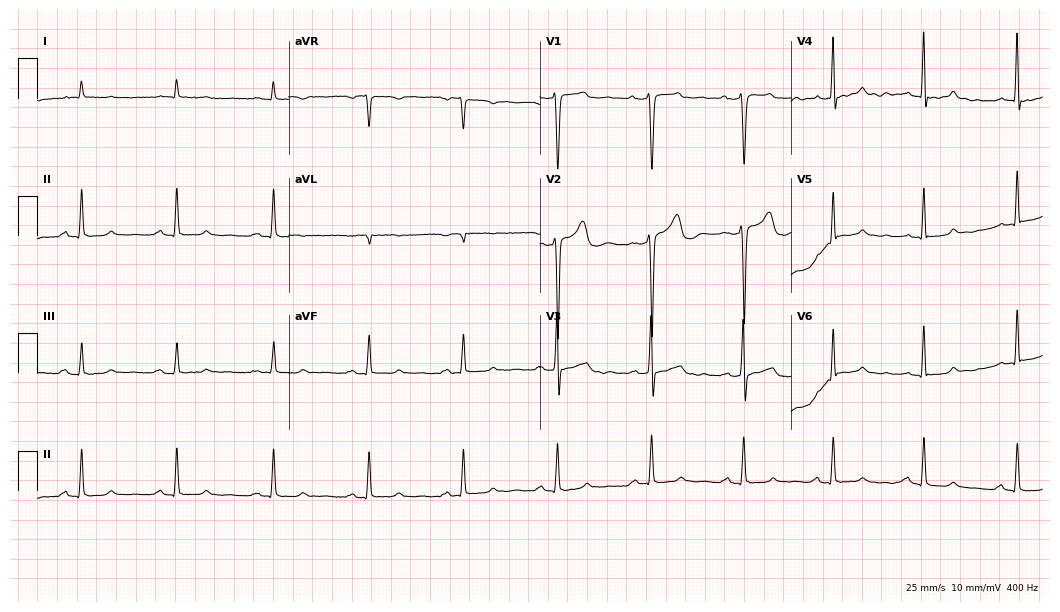
Resting 12-lead electrocardiogram. Patient: a male, 47 years old. None of these six findings is recorded: first-degree AV block, right bundle branch block (RBBB), left bundle branch block (LBBB), sinus bradycardia, atrial fibrillation (AF), sinus tachycardia.